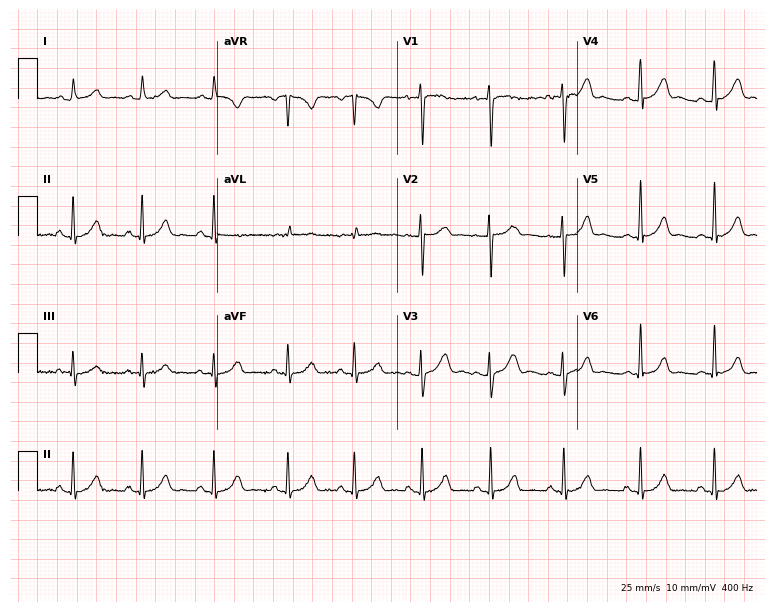
ECG (7.3-second recording at 400 Hz) — a 19-year-old woman. Screened for six findings — first-degree AV block, right bundle branch block, left bundle branch block, sinus bradycardia, atrial fibrillation, sinus tachycardia — none is recorded.